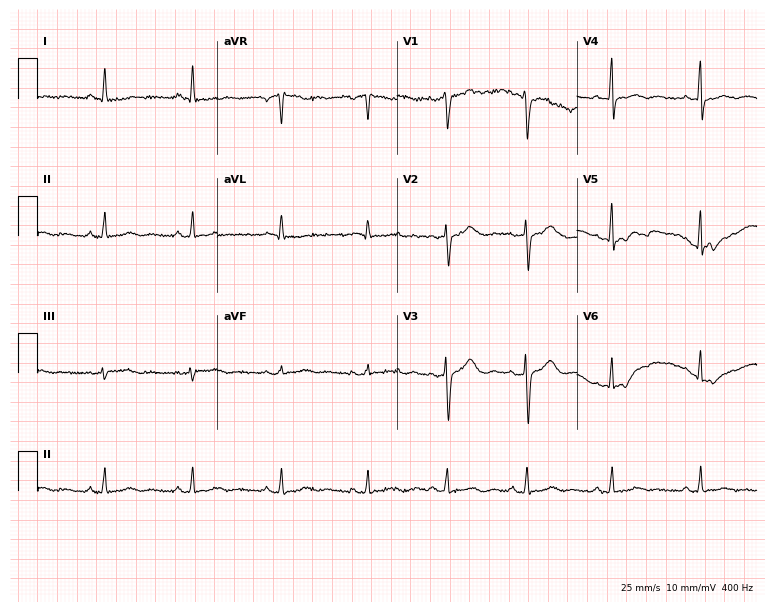
Electrocardiogram, a 44-year-old female. Of the six screened findings (first-degree AV block, right bundle branch block (RBBB), left bundle branch block (LBBB), sinus bradycardia, atrial fibrillation (AF), sinus tachycardia), none is recorded. Only these six findings were labelled.